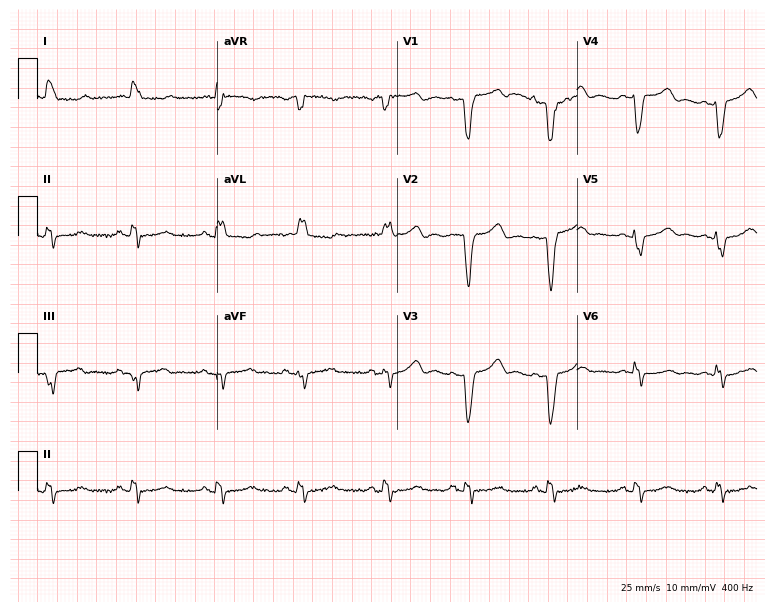
Resting 12-lead electrocardiogram (7.3-second recording at 400 Hz). Patient: a 79-year-old female. The tracing shows left bundle branch block.